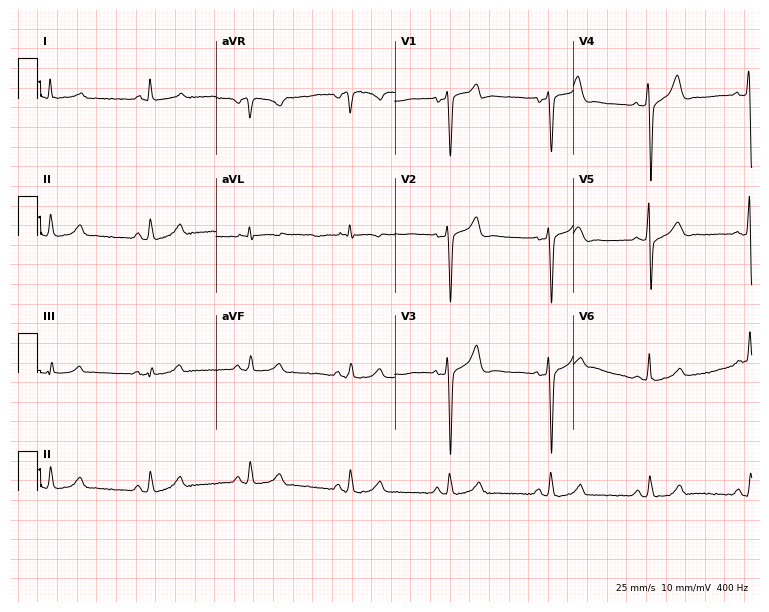
Standard 12-lead ECG recorded from a 65-year-old male patient (7.3-second recording at 400 Hz). Read as a normal ECG.